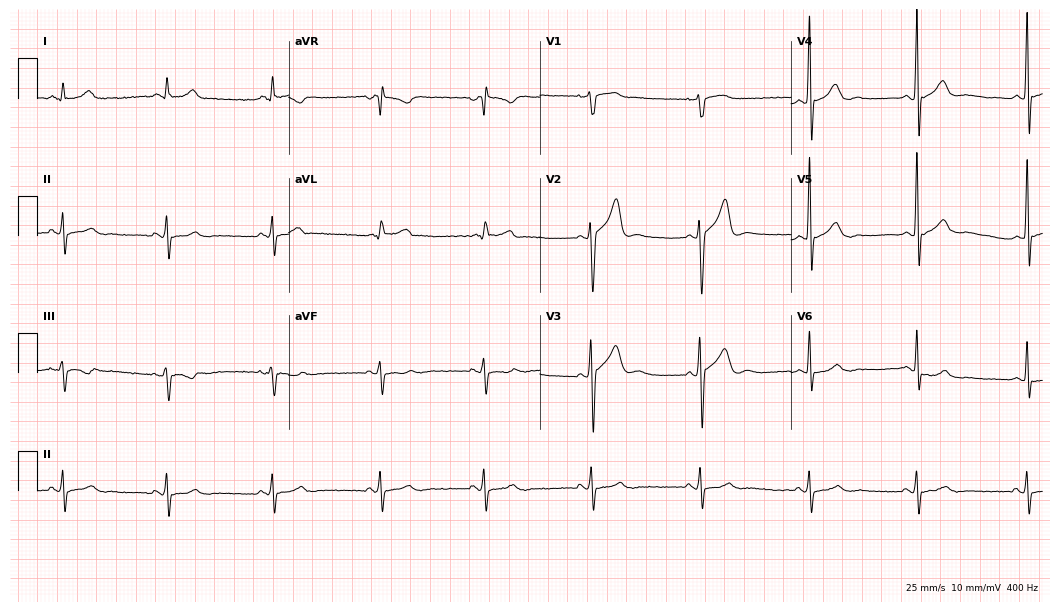
ECG (10.2-second recording at 400 Hz) — a male patient, 55 years old. Screened for six findings — first-degree AV block, right bundle branch block (RBBB), left bundle branch block (LBBB), sinus bradycardia, atrial fibrillation (AF), sinus tachycardia — none is recorded. Only these six findings were labelled.